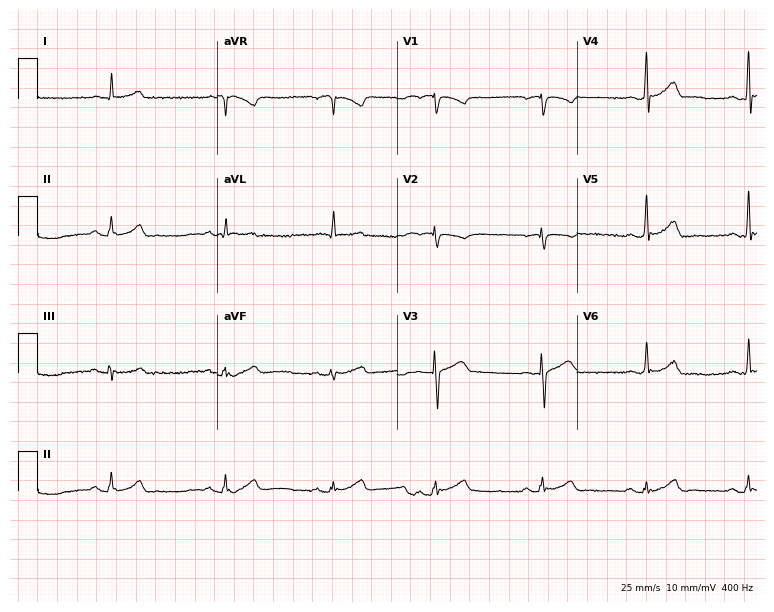
12-lead ECG from a male patient, 65 years old. Screened for six findings — first-degree AV block, right bundle branch block, left bundle branch block, sinus bradycardia, atrial fibrillation, sinus tachycardia — none is recorded. Findings outside these six are not listed.